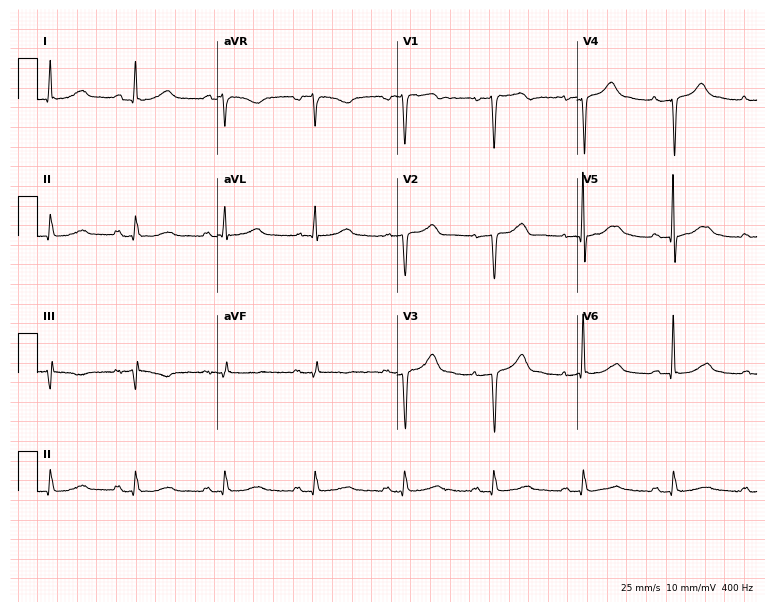
Standard 12-lead ECG recorded from a female, 72 years old (7.3-second recording at 400 Hz). None of these six findings is recorded: first-degree AV block, right bundle branch block (RBBB), left bundle branch block (LBBB), sinus bradycardia, atrial fibrillation (AF), sinus tachycardia.